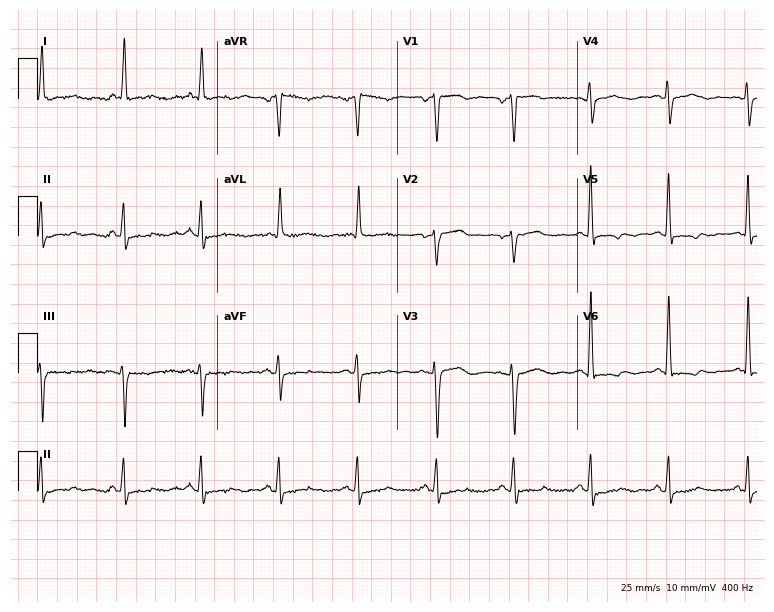
12-lead ECG from a woman, 75 years old. No first-degree AV block, right bundle branch block (RBBB), left bundle branch block (LBBB), sinus bradycardia, atrial fibrillation (AF) or sinus tachycardia recorded for this tracing. Other findings, if any, are not listed.